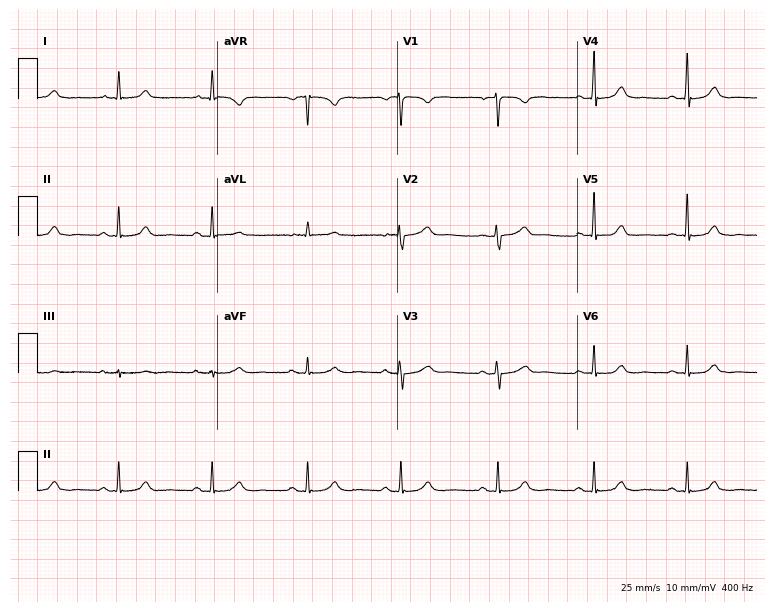
12-lead ECG from a female patient, 37 years old (7.3-second recording at 400 Hz). Recorded interpretation: within normal limits.